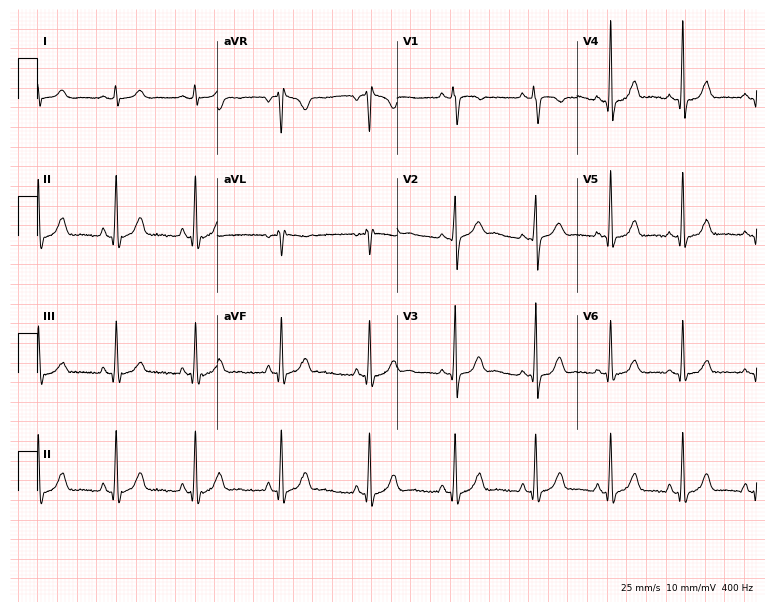
Electrocardiogram (7.3-second recording at 400 Hz), a female patient, 18 years old. Of the six screened findings (first-degree AV block, right bundle branch block (RBBB), left bundle branch block (LBBB), sinus bradycardia, atrial fibrillation (AF), sinus tachycardia), none is recorded. Other findings, if any, are not listed.